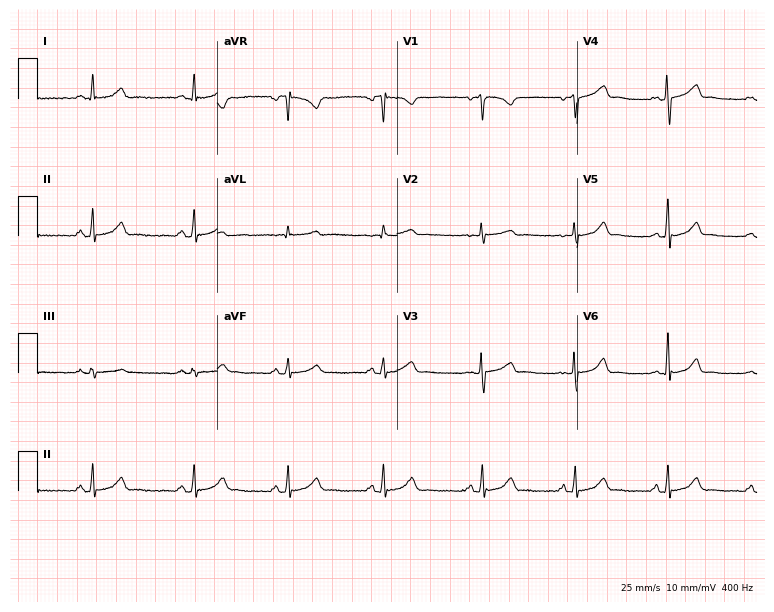
ECG — a female patient, 19 years old. Labelled as a normal ECG.